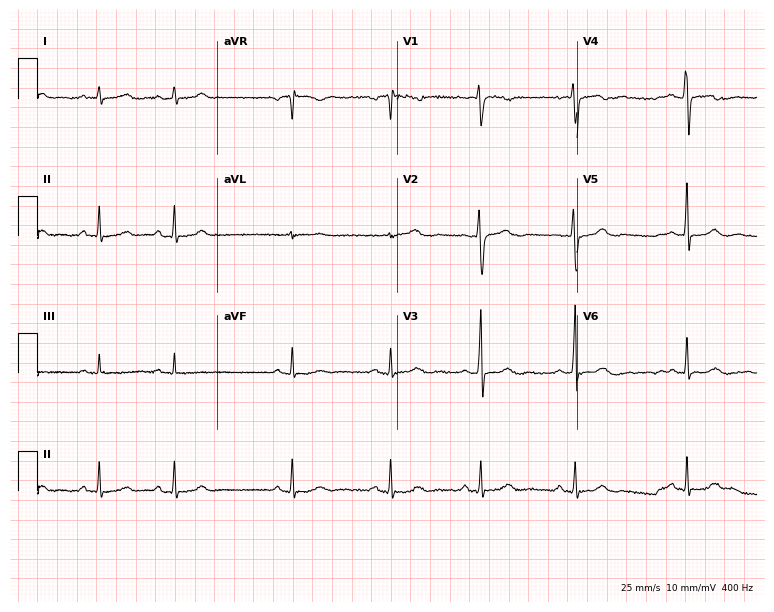
ECG (7.3-second recording at 400 Hz) — a female, 29 years old. Labelled as a normal ECG.